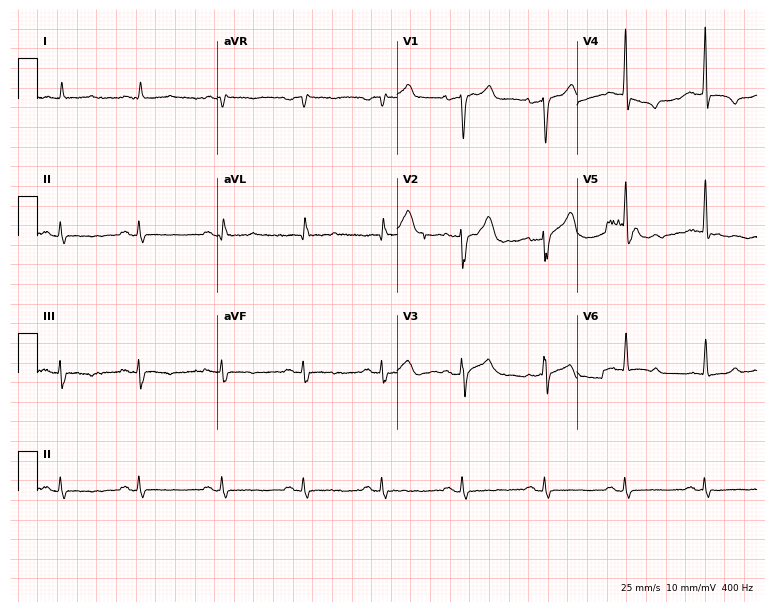
Standard 12-lead ECG recorded from a 65-year-old man (7.3-second recording at 400 Hz). None of these six findings is recorded: first-degree AV block, right bundle branch block (RBBB), left bundle branch block (LBBB), sinus bradycardia, atrial fibrillation (AF), sinus tachycardia. Other findings, if any, are not listed.